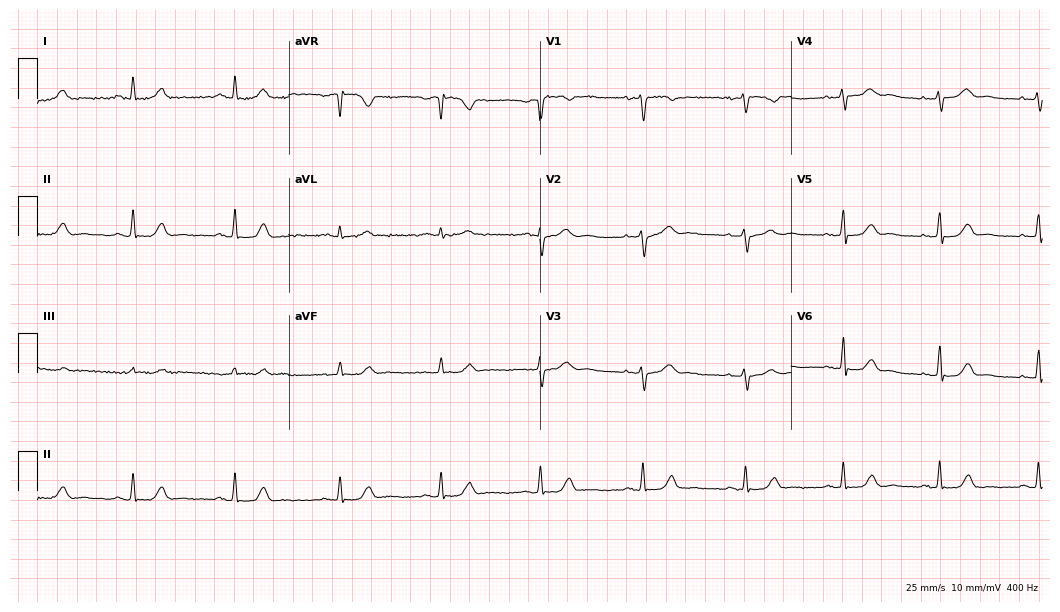
Resting 12-lead electrocardiogram (10.2-second recording at 400 Hz). Patient: a woman, 57 years old. Read as a normal ECG.